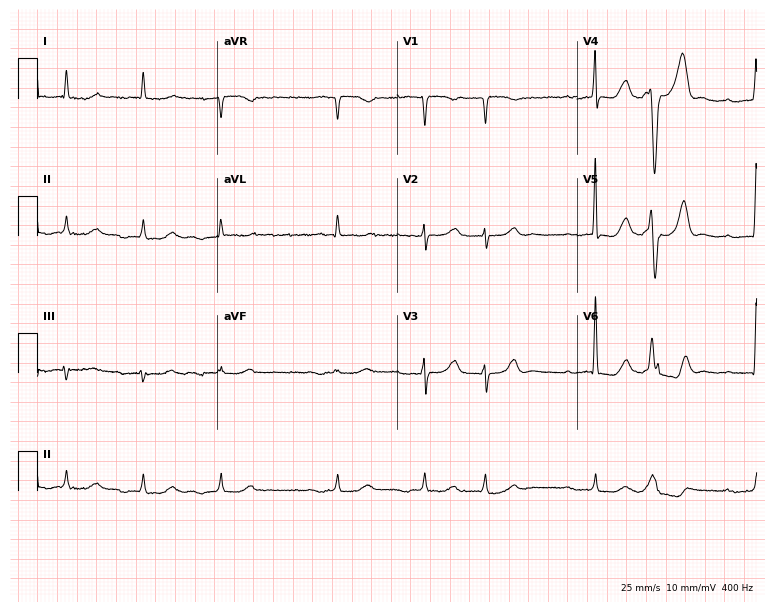
Standard 12-lead ECG recorded from a female patient, 75 years old. The tracing shows atrial fibrillation (AF).